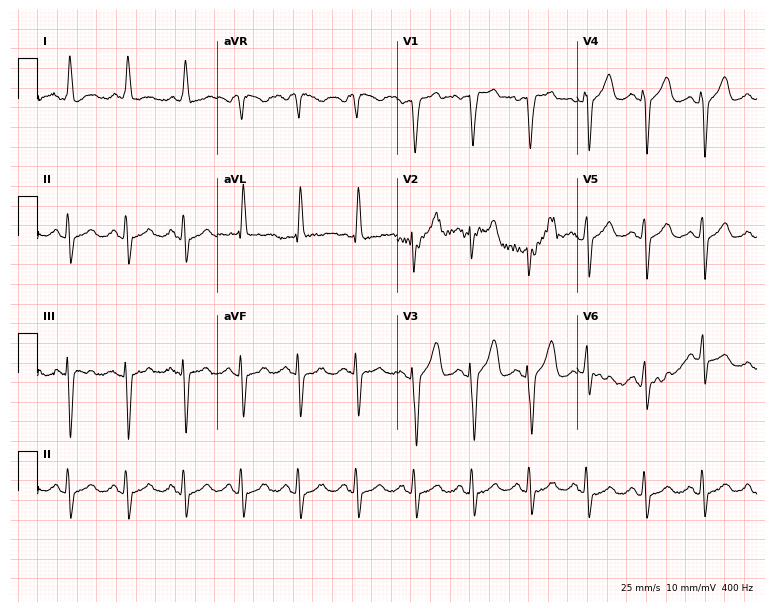
Standard 12-lead ECG recorded from a male patient, 61 years old. The tracing shows sinus tachycardia (a sinus rate of 100 beats per minute or more).